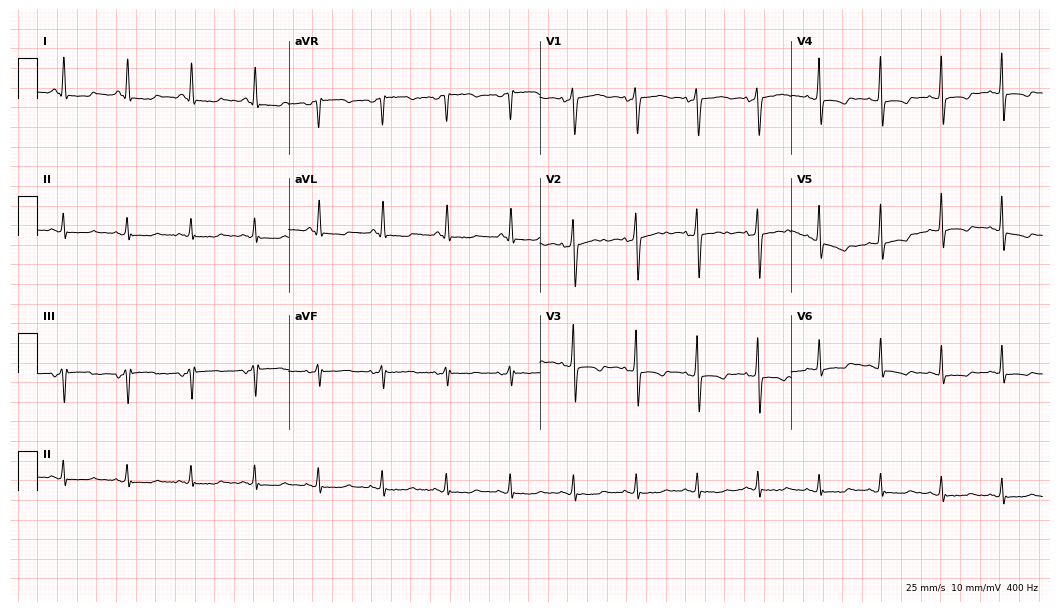
ECG — a woman, 63 years old. Screened for six findings — first-degree AV block, right bundle branch block, left bundle branch block, sinus bradycardia, atrial fibrillation, sinus tachycardia — none is recorded.